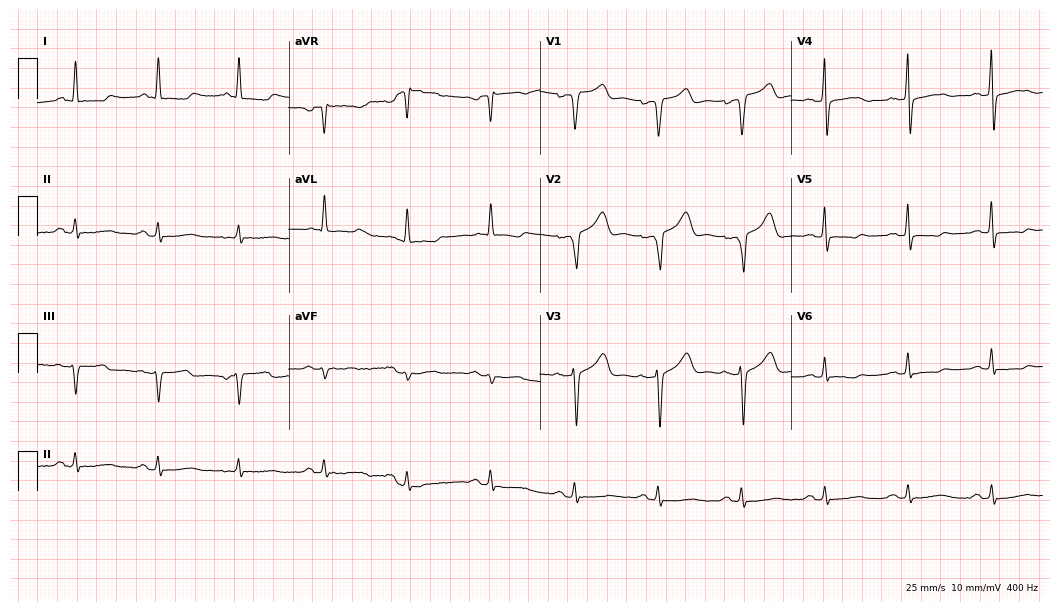
Electrocardiogram, a 59-year-old male. Of the six screened findings (first-degree AV block, right bundle branch block, left bundle branch block, sinus bradycardia, atrial fibrillation, sinus tachycardia), none is recorded. Other findings, if any, are not listed.